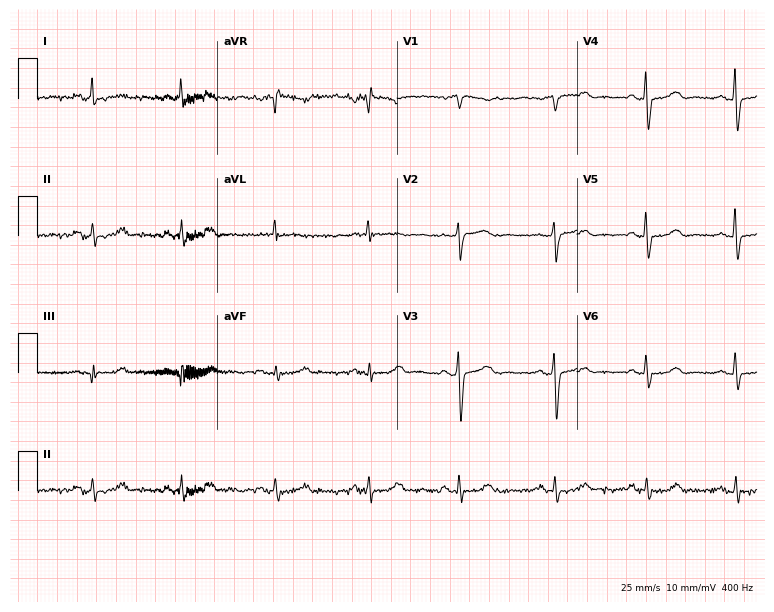
Electrocardiogram (7.3-second recording at 400 Hz), a 52-year-old female. Overall reading on record: normal ECG.